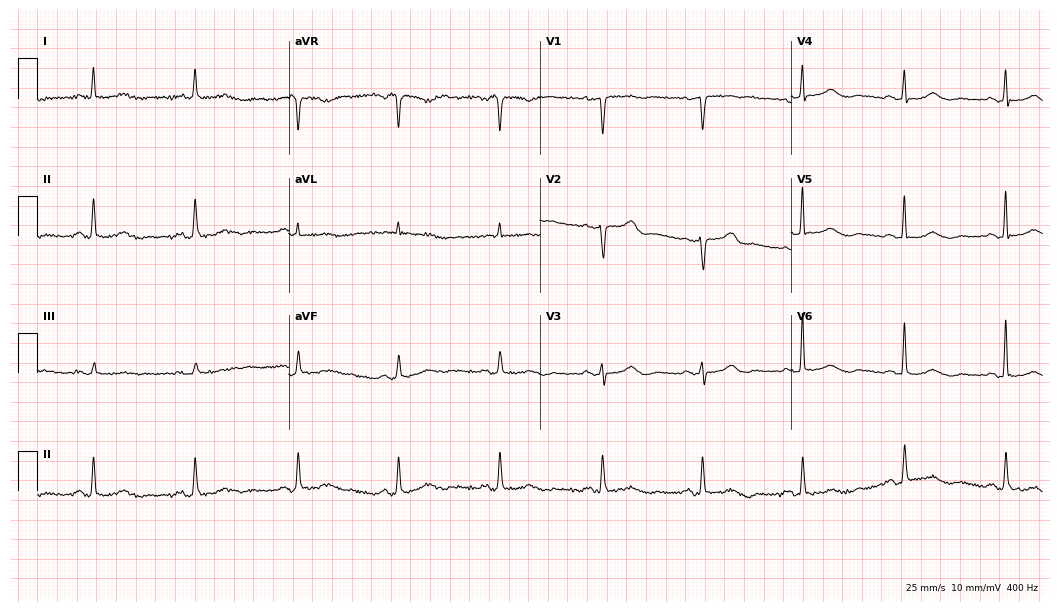
Resting 12-lead electrocardiogram (10.2-second recording at 400 Hz). Patient: an 83-year-old female. Read as a normal ECG.